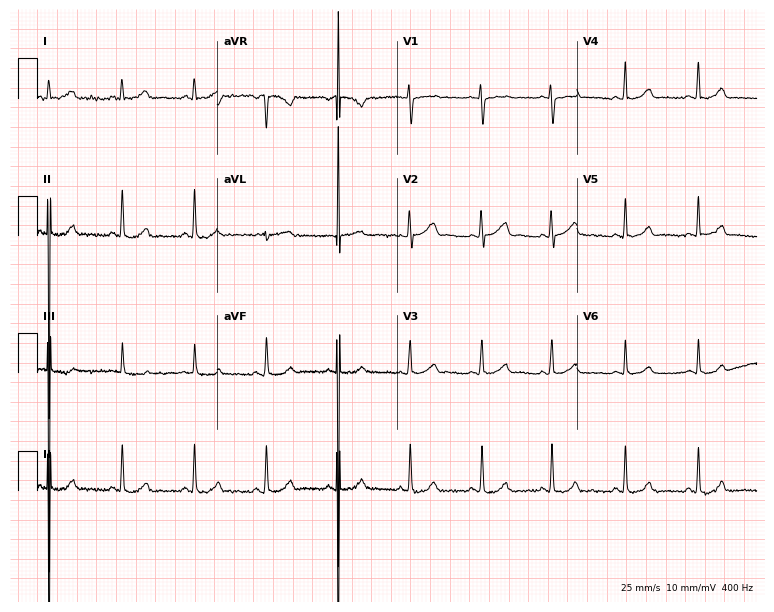
Resting 12-lead electrocardiogram (7.3-second recording at 400 Hz). Patient: a 20-year-old female. None of these six findings is recorded: first-degree AV block, right bundle branch block, left bundle branch block, sinus bradycardia, atrial fibrillation, sinus tachycardia. Findings outside these six are not listed.